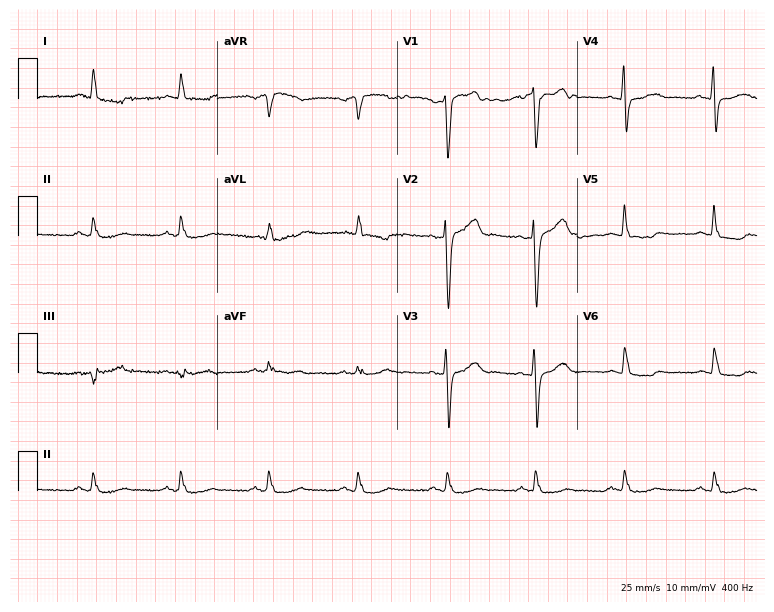
12-lead ECG from a 57-year-old male. Screened for six findings — first-degree AV block, right bundle branch block, left bundle branch block, sinus bradycardia, atrial fibrillation, sinus tachycardia — none is recorded.